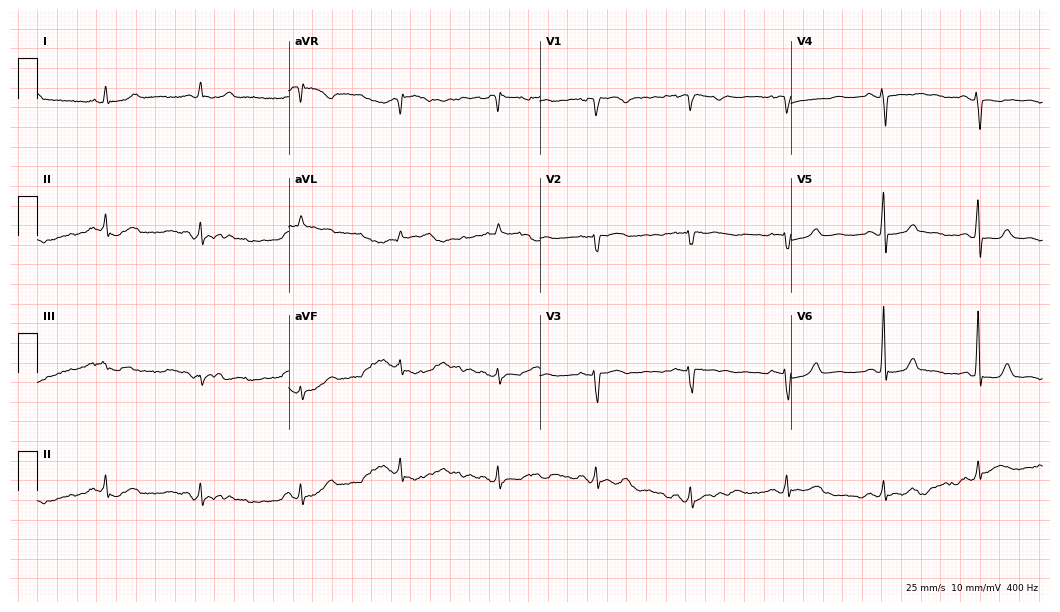
ECG (10.2-second recording at 400 Hz) — a woman, 64 years old. Screened for six findings — first-degree AV block, right bundle branch block, left bundle branch block, sinus bradycardia, atrial fibrillation, sinus tachycardia — none is recorded.